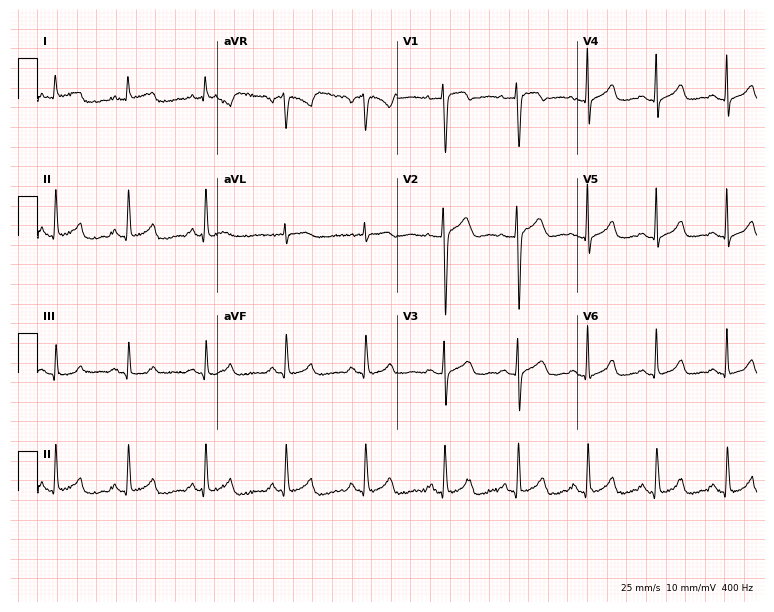
Resting 12-lead electrocardiogram. Patient: a 29-year-old woman. None of these six findings is recorded: first-degree AV block, right bundle branch block, left bundle branch block, sinus bradycardia, atrial fibrillation, sinus tachycardia. Other findings, if any, are not listed.